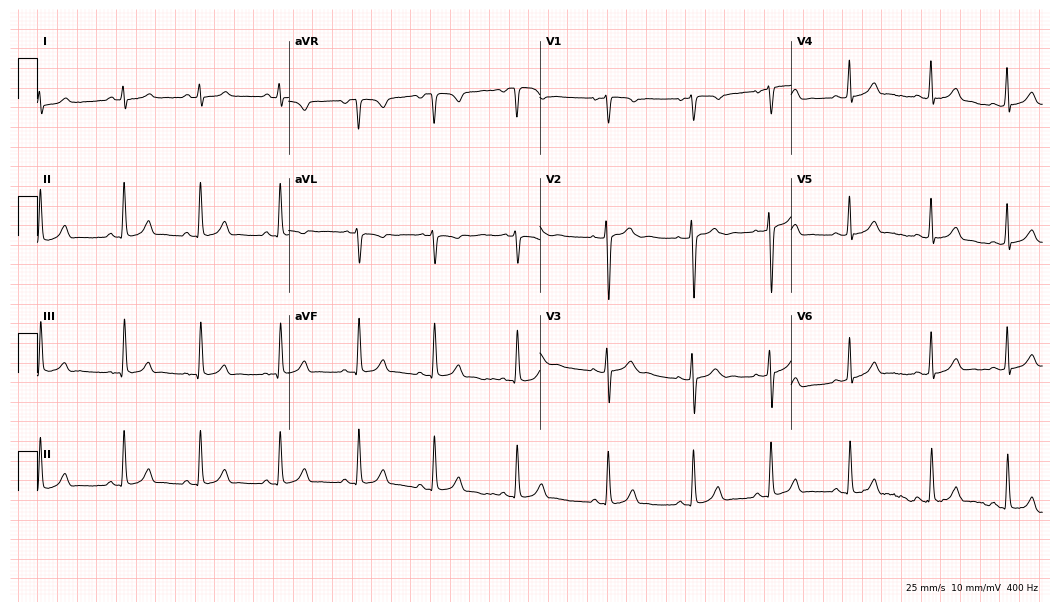
12-lead ECG (10.2-second recording at 400 Hz) from a female, 18 years old. Labelled as a normal ECG.